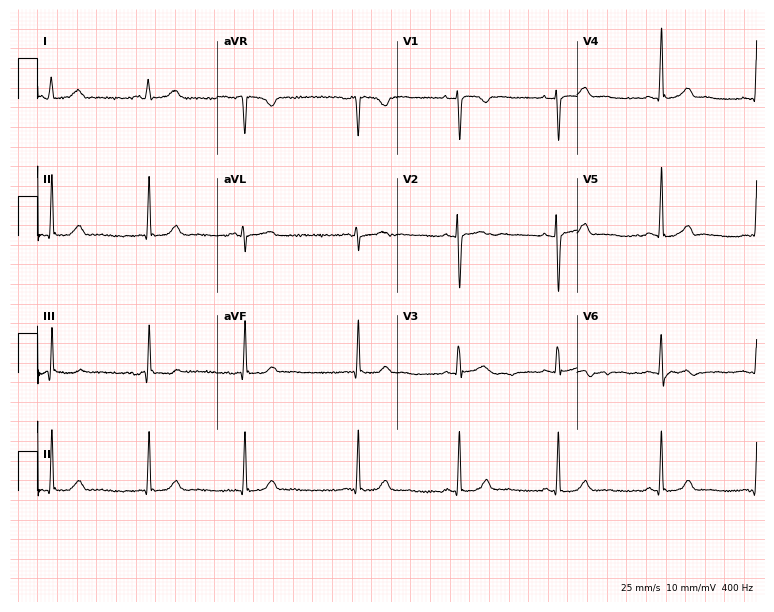
Resting 12-lead electrocardiogram (7.3-second recording at 400 Hz). Patient: a 28-year-old woman. Read as a normal ECG.